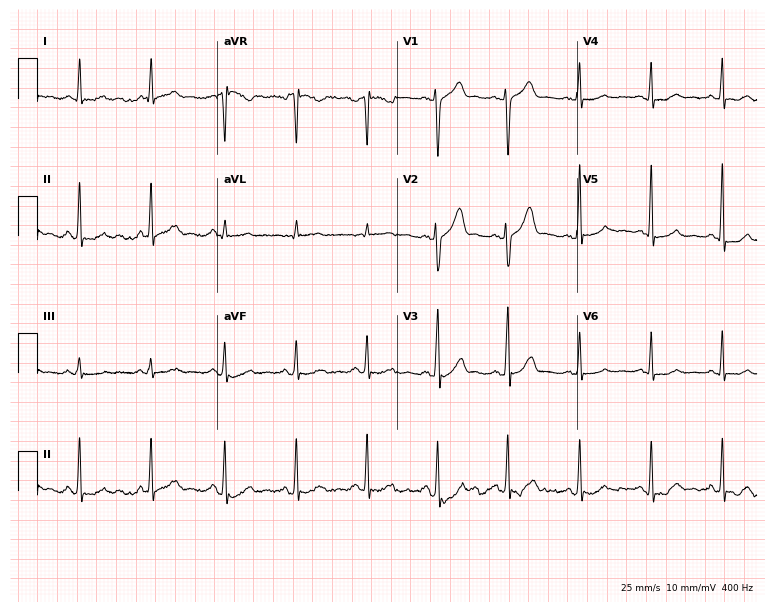
Resting 12-lead electrocardiogram (7.3-second recording at 400 Hz). Patient: a 60-year-old male. None of these six findings is recorded: first-degree AV block, right bundle branch block (RBBB), left bundle branch block (LBBB), sinus bradycardia, atrial fibrillation (AF), sinus tachycardia. Only these six findings were labelled.